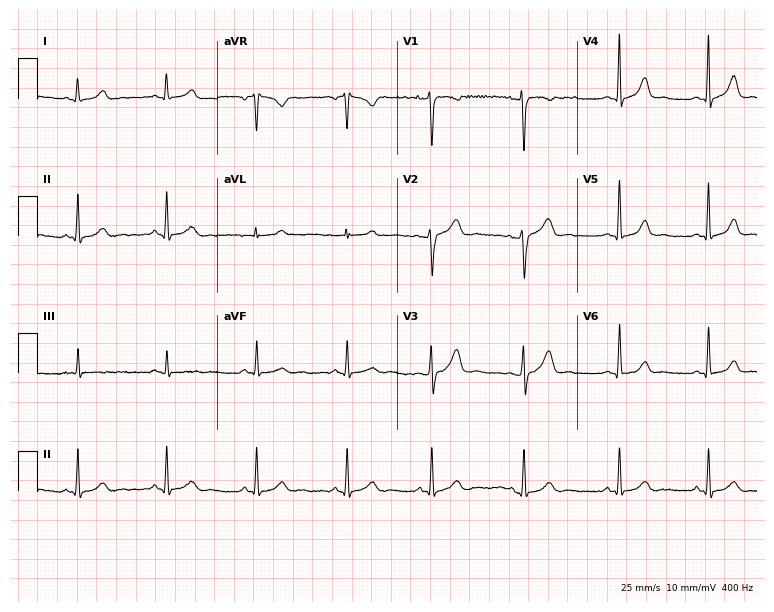
Electrocardiogram, a 21-year-old female. Of the six screened findings (first-degree AV block, right bundle branch block (RBBB), left bundle branch block (LBBB), sinus bradycardia, atrial fibrillation (AF), sinus tachycardia), none is recorded.